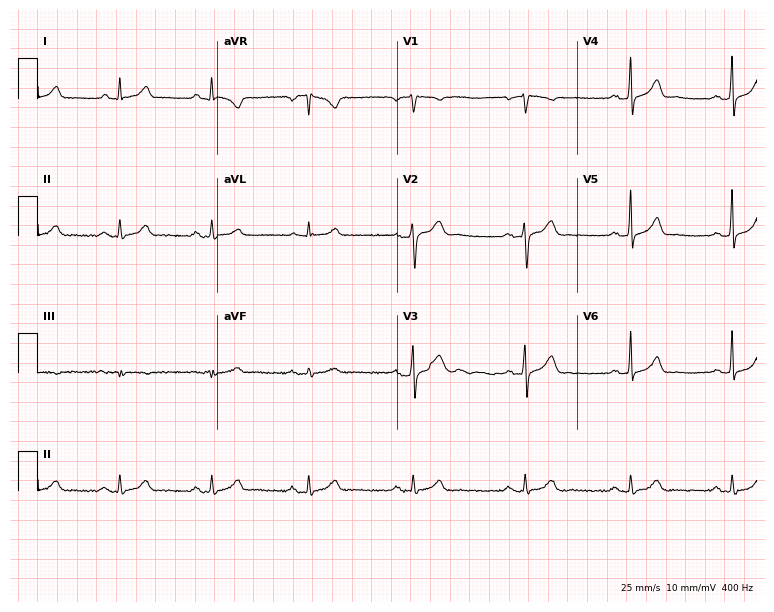
Electrocardiogram (7.3-second recording at 400 Hz), a man, 42 years old. Of the six screened findings (first-degree AV block, right bundle branch block, left bundle branch block, sinus bradycardia, atrial fibrillation, sinus tachycardia), none is recorded.